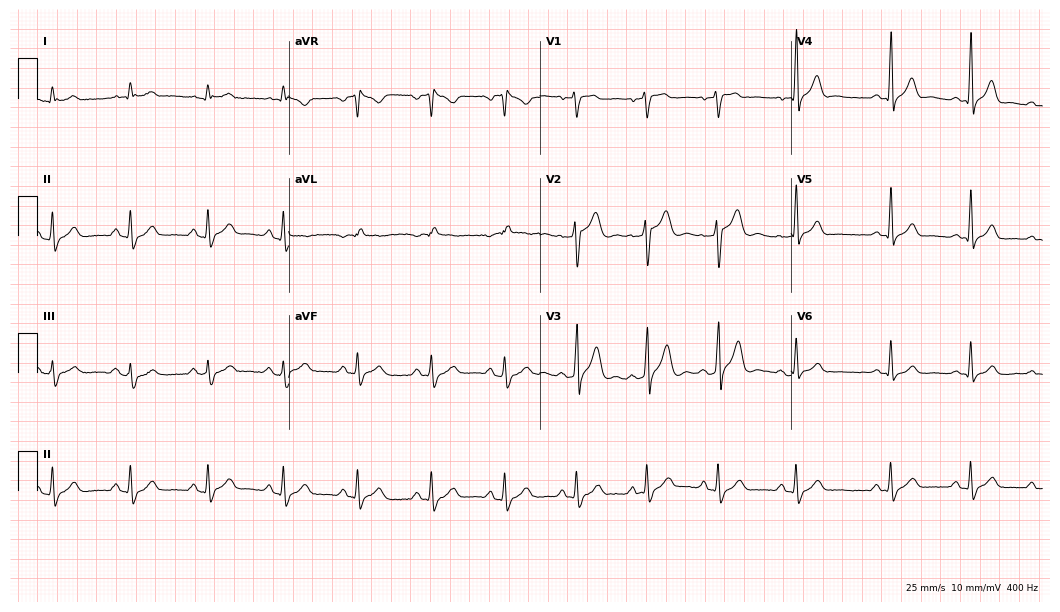
Electrocardiogram, a male, 26 years old. Of the six screened findings (first-degree AV block, right bundle branch block (RBBB), left bundle branch block (LBBB), sinus bradycardia, atrial fibrillation (AF), sinus tachycardia), none is recorded.